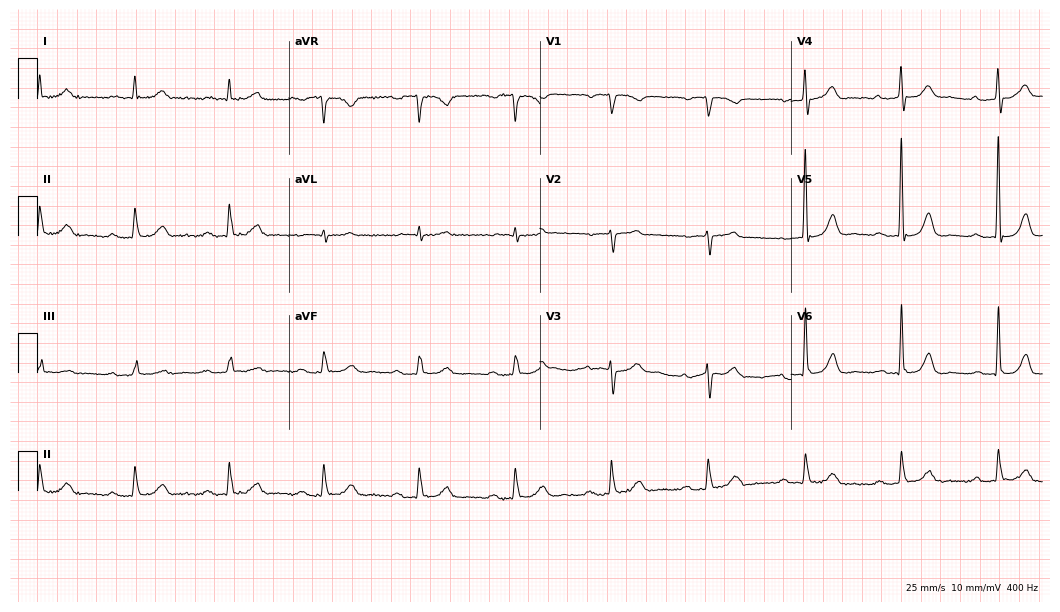
12-lead ECG from a man, 85 years old (10.2-second recording at 400 Hz). Shows first-degree AV block.